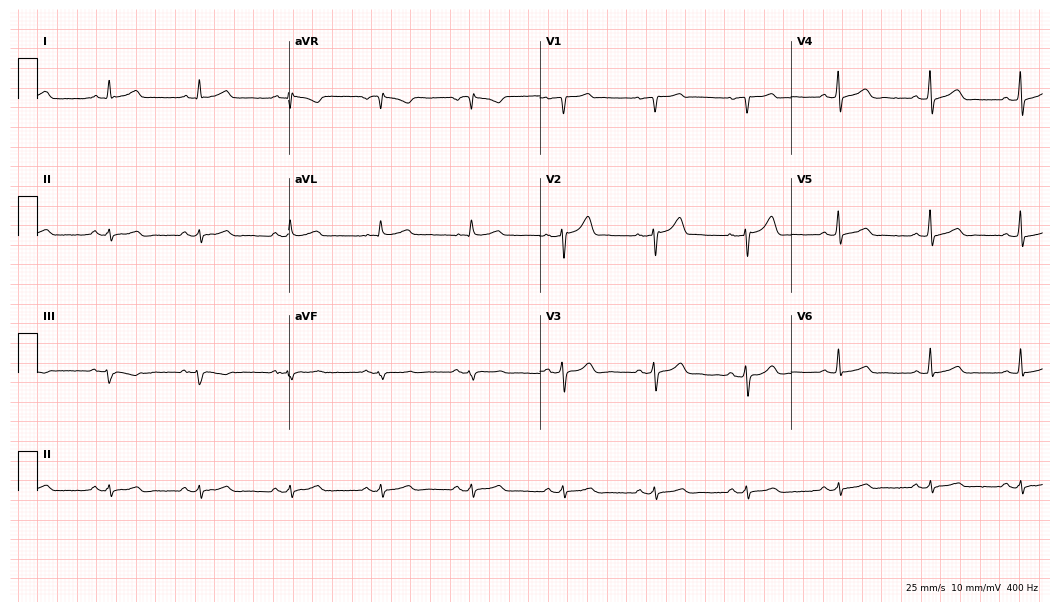
Resting 12-lead electrocardiogram (10.2-second recording at 400 Hz). Patient: a male, 56 years old. Read as a normal ECG.